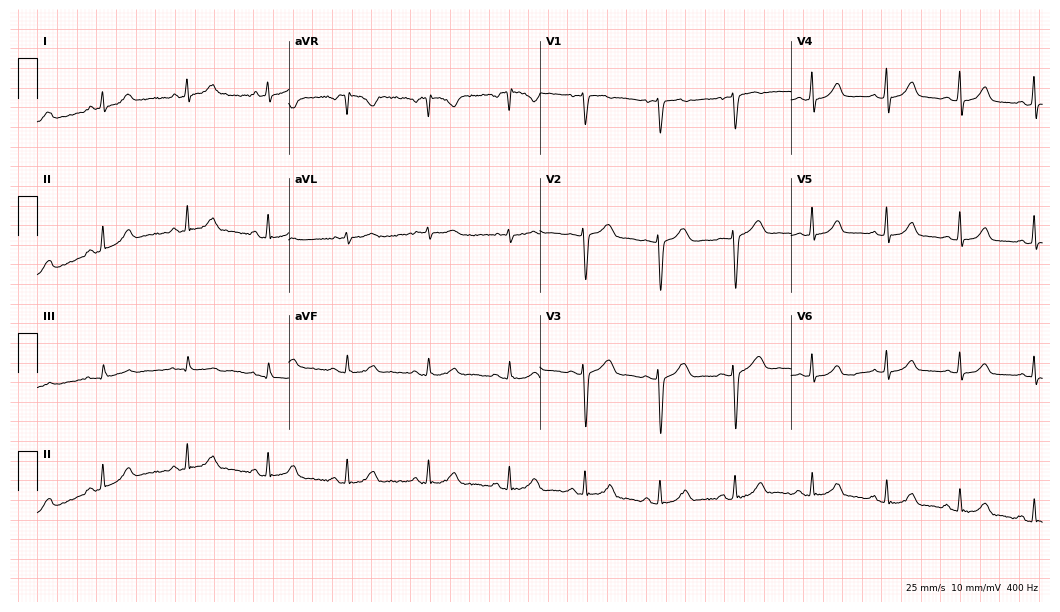
Electrocardiogram (10.2-second recording at 400 Hz), a female patient, 36 years old. Of the six screened findings (first-degree AV block, right bundle branch block (RBBB), left bundle branch block (LBBB), sinus bradycardia, atrial fibrillation (AF), sinus tachycardia), none is recorded.